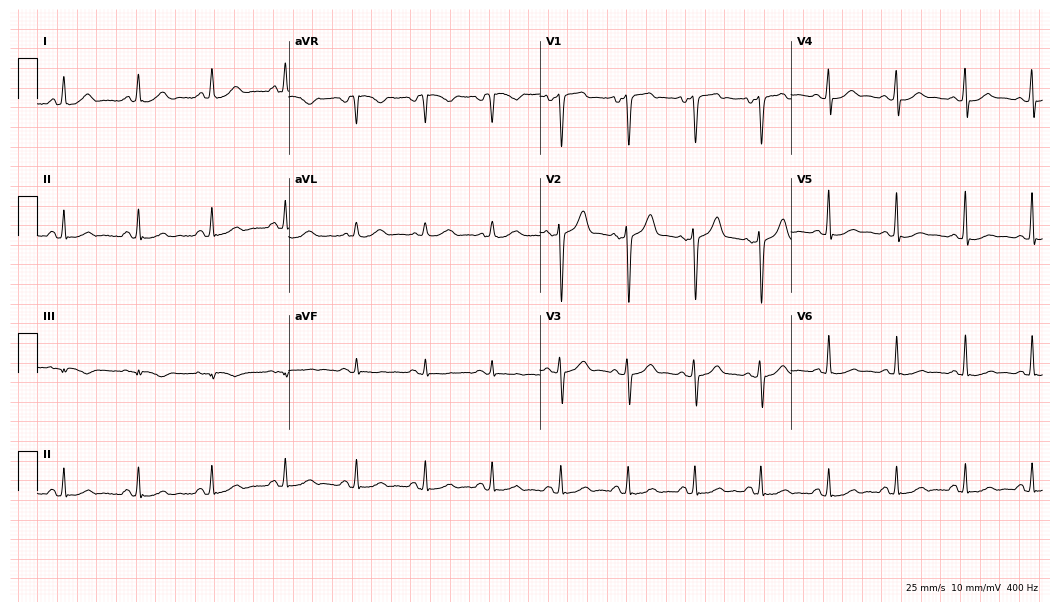
12-lead ECG from a male, 27 years old. Recorded interpretation: within normal limits.